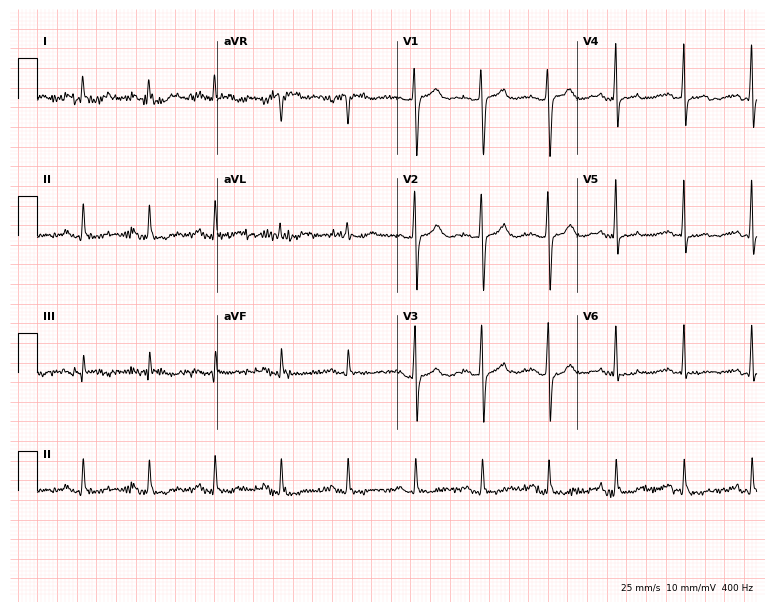
Resting 12-lead electrocardiogram (7.3-second recording at 400 Hz). Patient: a female, 69 years old. Read as a normal ECG.